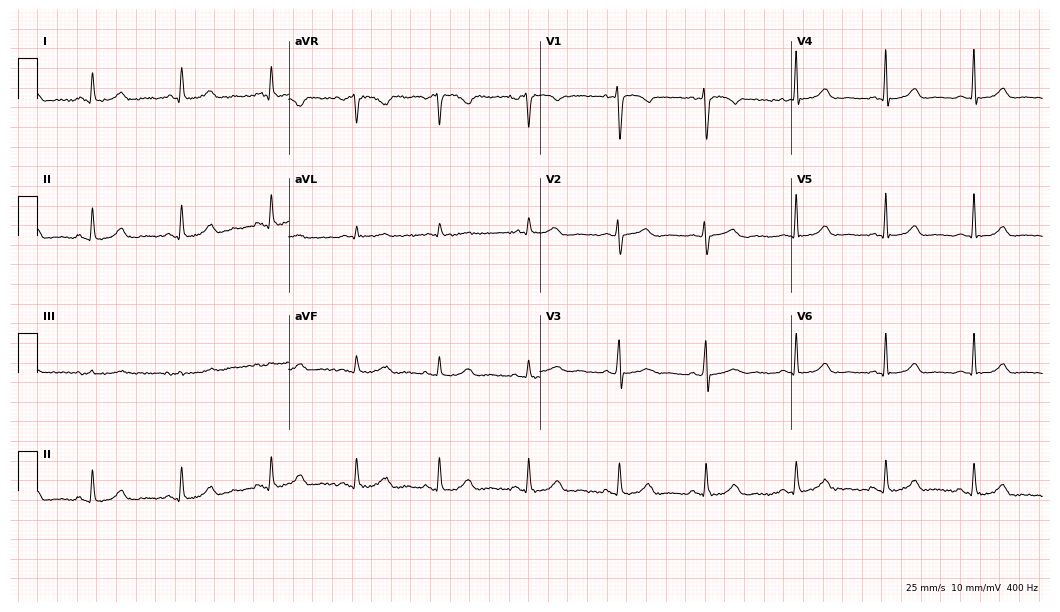
Standard 12-lead ECG recorded from a female, 24 years old (10.2-second recording at 400 Hz). Read as a normal ECG.